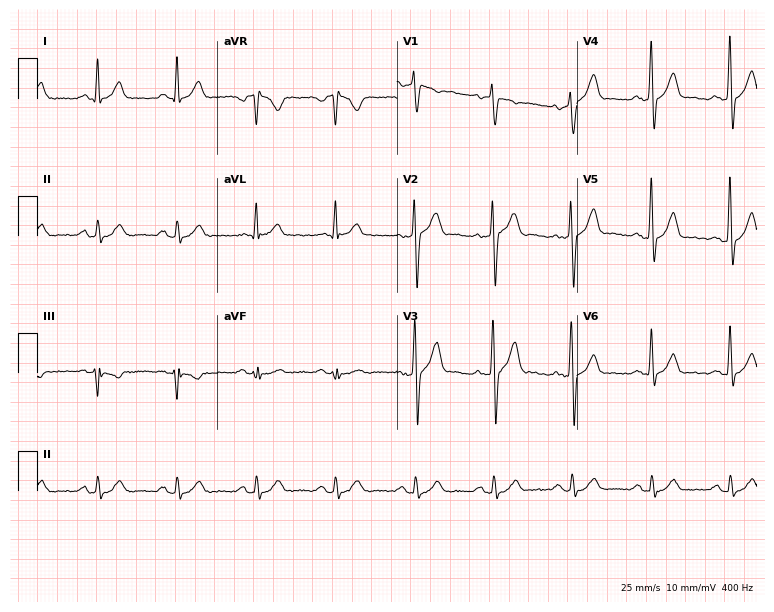
ECG (7.3-second recording at 400 Hz) — a 41-year-old man. Screened for six findings — first-degree AV block, right bundle branch block (RBBB), left bundle branch block (LBBB), sinus bradycardia, atrial fibrillation (AF), sinus tachycardia — none is recorded. Other findings, if any, are not listed.